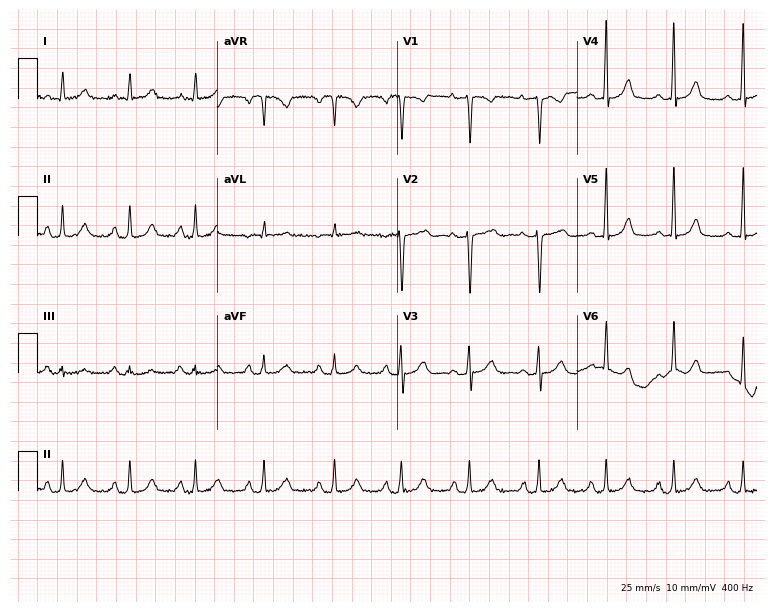
Electrocardiogram, a 36-year-old female patient. Overall reading on record: normal ECG.